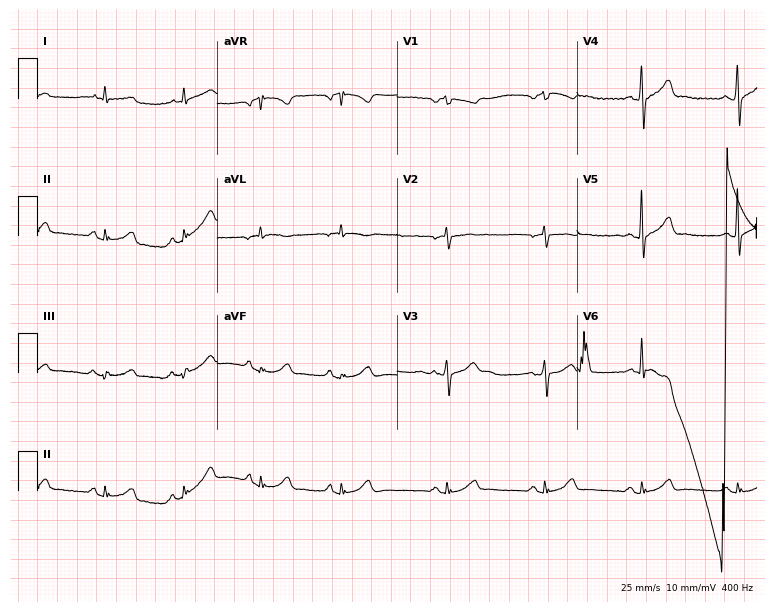
Resting 12-lead electrocardiogram. Patient: an 83-year-old man. None of these six findings is recorded: first-degree AV block, right bundle branch block, left bundle branch block, sinus bradycardia, atrial fibrillation, sinus tachycardia.